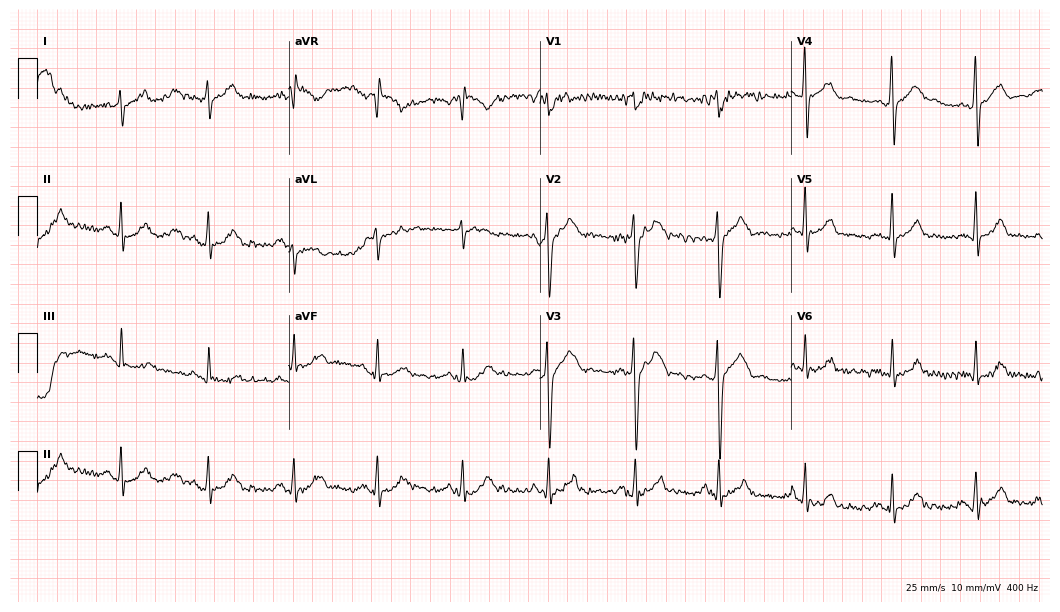
12-lead ECG from a male, 23 years old (10.2-second recording at 400 Hz). No first-degree AV block, right bundle branch block (RBBB), left bundle branch block (LBBB), sinus bradycardia, atrial fibrillation (AF) or sinus tachycardia recorded for this tracing.